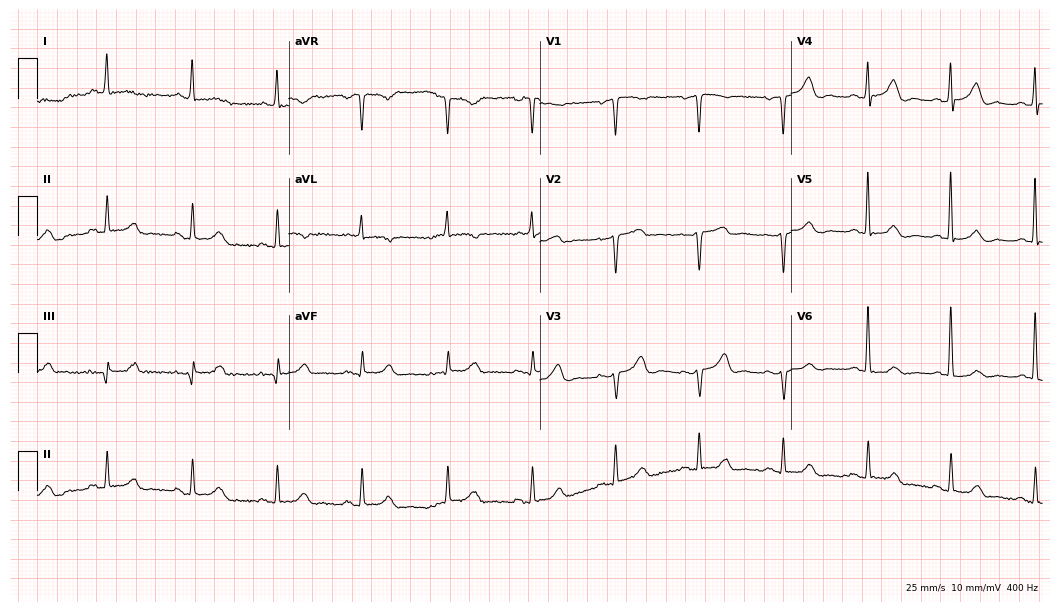
Electrocardiogram, a 67-year-old female. Overall reading on record: normal ECG.